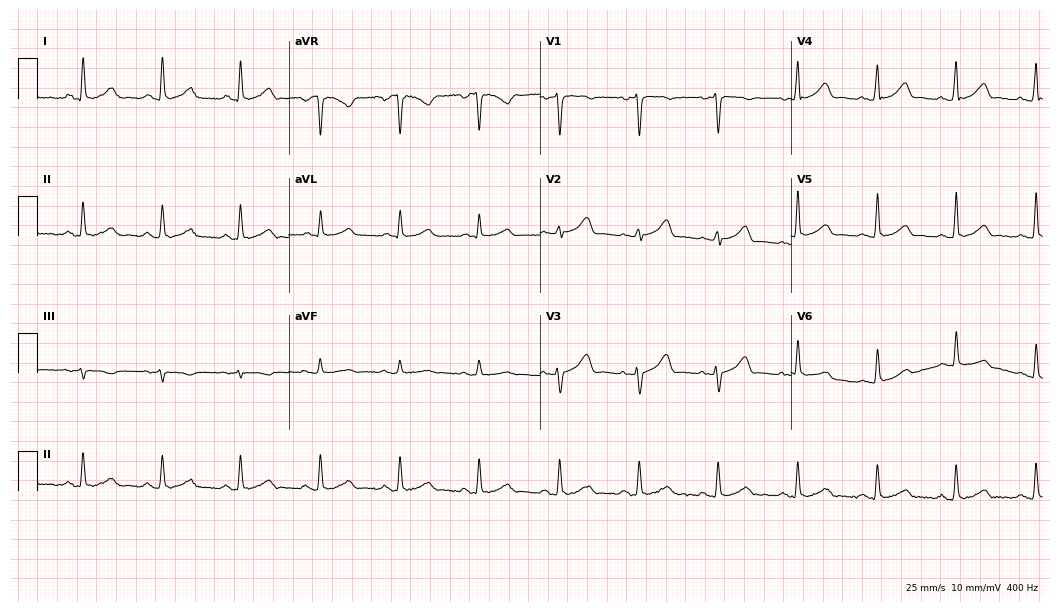
Standard 12-lead ECG recorded from a female, 42 years old (10.2-second recording at 400 Hz). Read as a normal ECG.